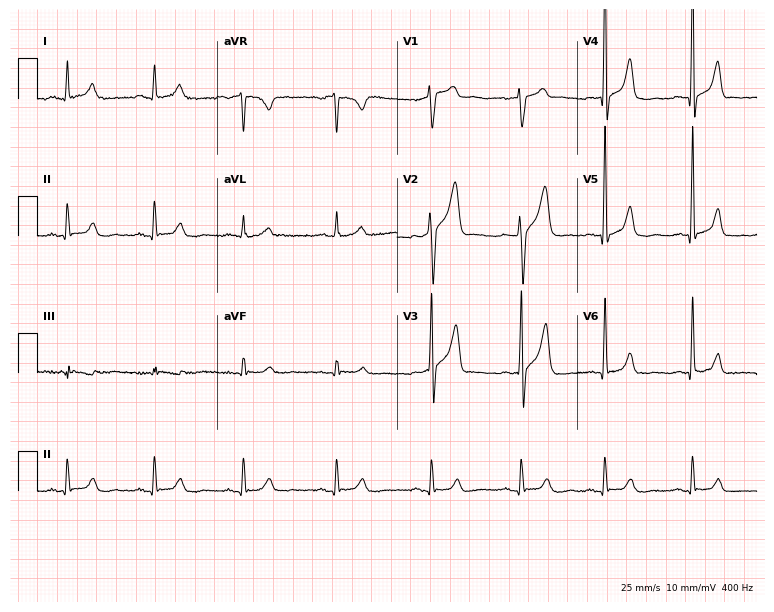
12-lead ECG from a 40-year-old male. Labelled as a normal ECG.